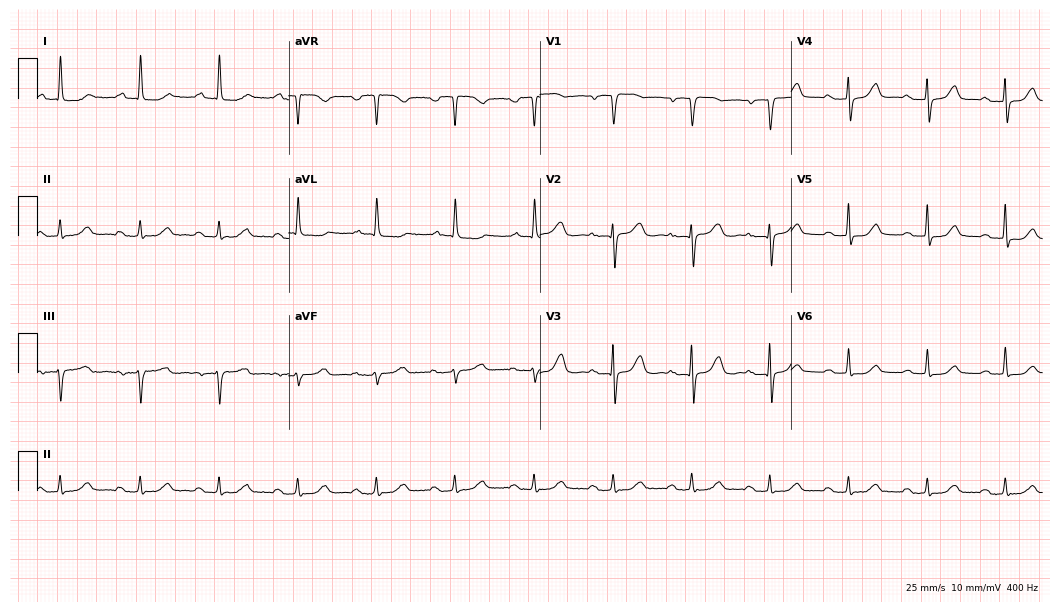
12-lead ECG (10.2-second recording at 400 Hz) from a female patient, 75 years old. Findings include first-degree AV block.